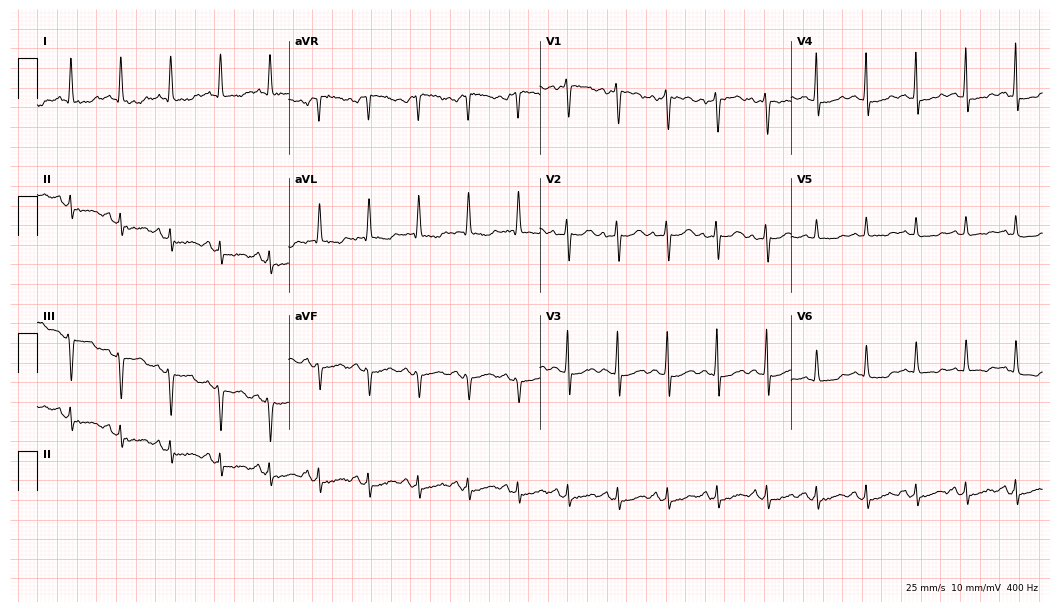
12-lead ECG from a 45-year-old female. Findings include sinus tachycardia (a sinus rate of 100 beats per minute or more).